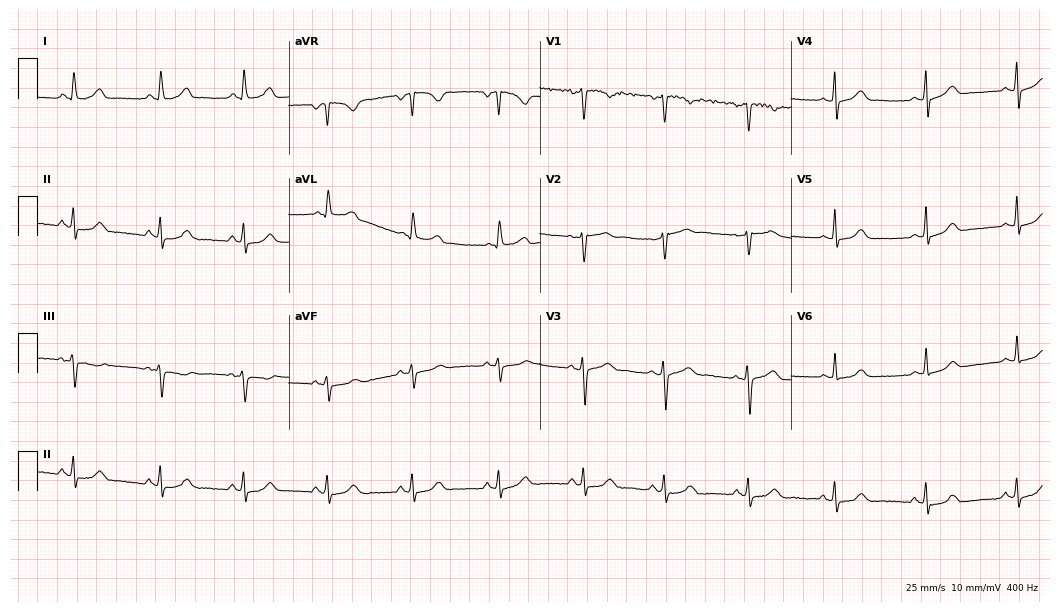
12-lead ECG from a 43-year-old female. Labelled as a normal ECG.